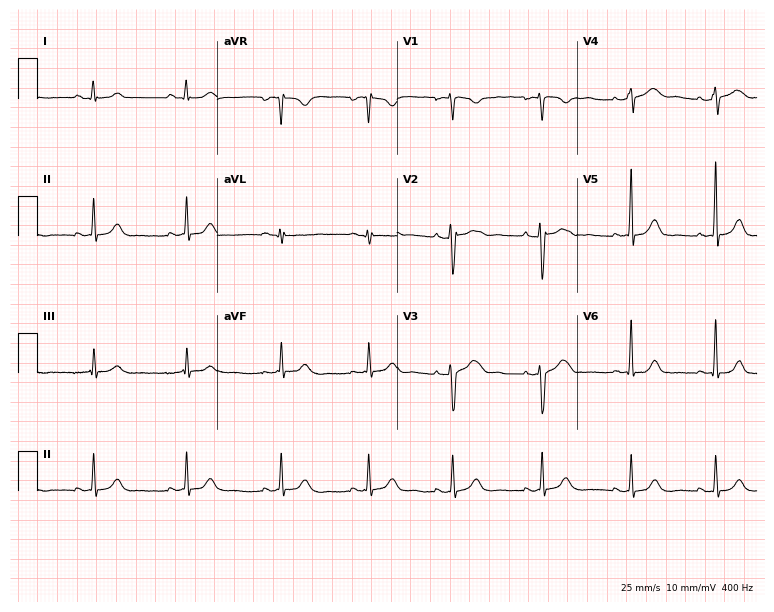
ECG (7.3-second recording at 400 Hz) — a female, 29 years old. Screened for six findings — first-degree AV block, right bundle branch block, left bundle branch block, sinus bradycardia, atrial fibrillation, sinus tachycardia — none is recorded.